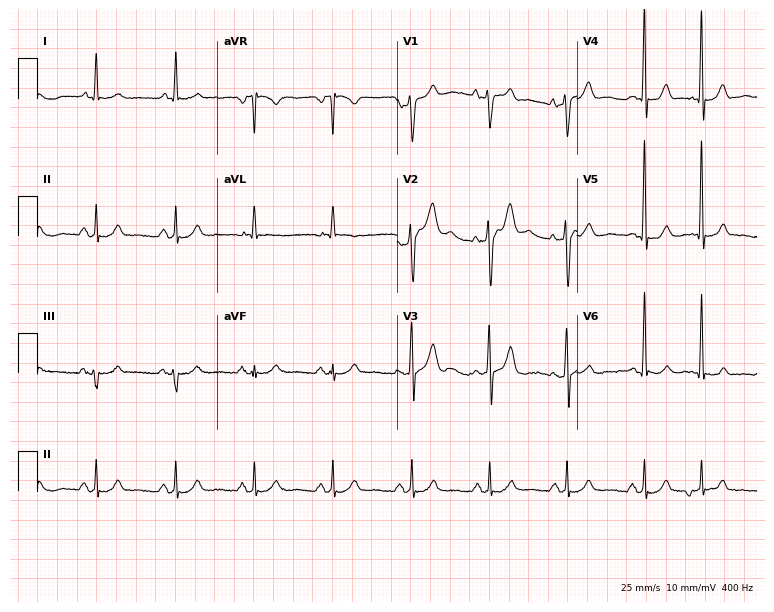
12-lead ECG (7.3-second recording at 400 Hz) from a male patient, 67 years old. Labelled as a normal ECG.